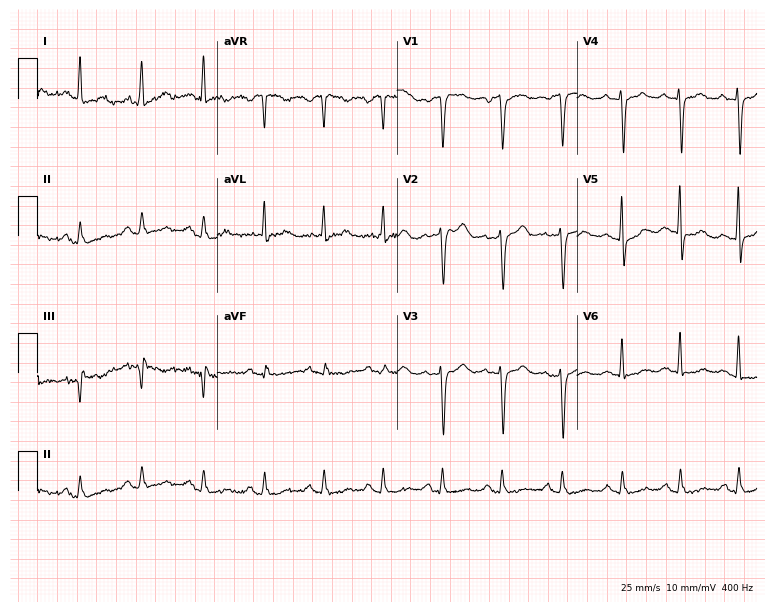
Electrocardiogram, a 66-year-old woman. Overall reading on record: normal ECG.